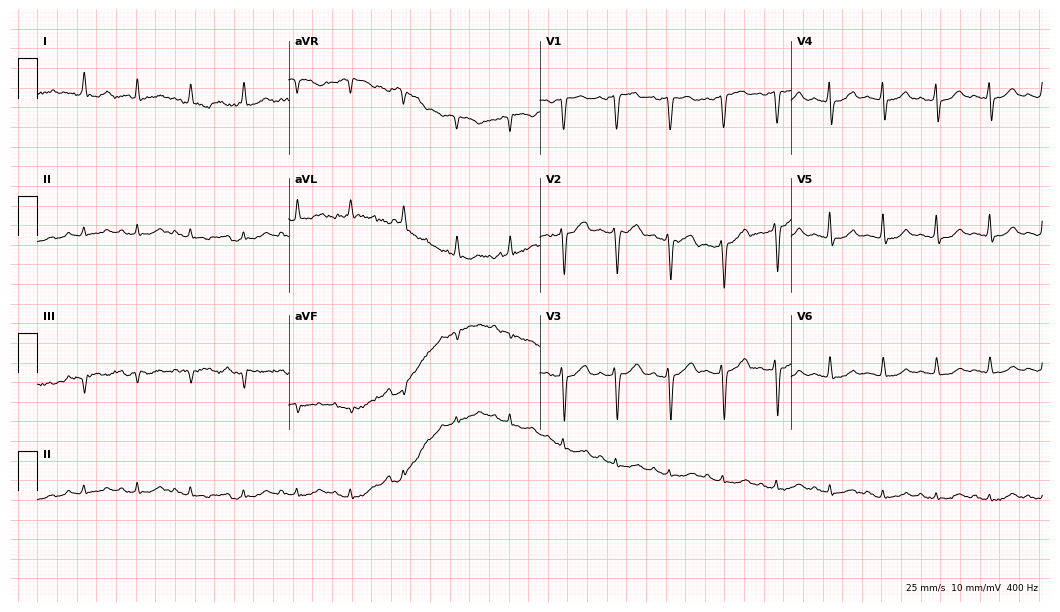
12-lead ECG from a 76-year-old female (10.2-second recording at 400 Hz). Shows sinus tachycardia (a sinus rate of 100 beats per minute or more).